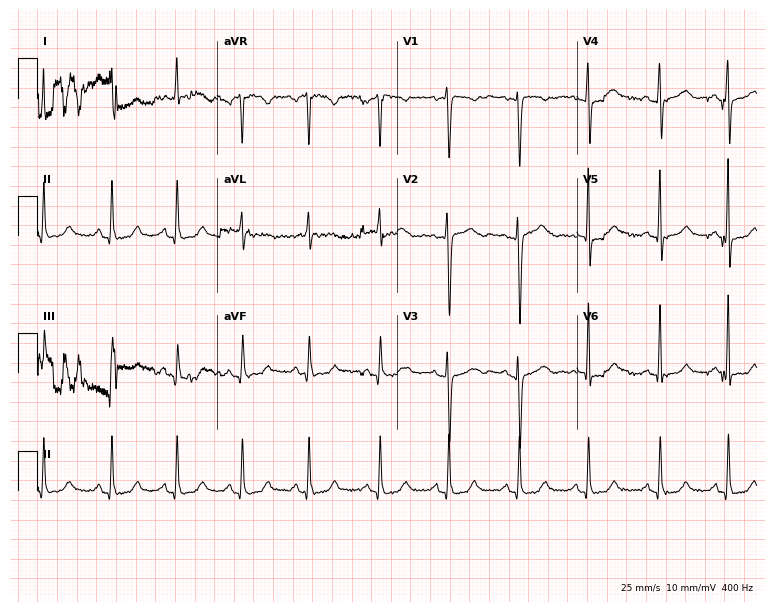
Standard 12-lead ECG recorded from a female patient, 48 years old. None of these six findings is recorded: first-degree AV block, right bundle branch block, left bundle branch block, sinus bradycardia, atrial fibrillation, sinus tachycardia. Only these six findings were labelled.